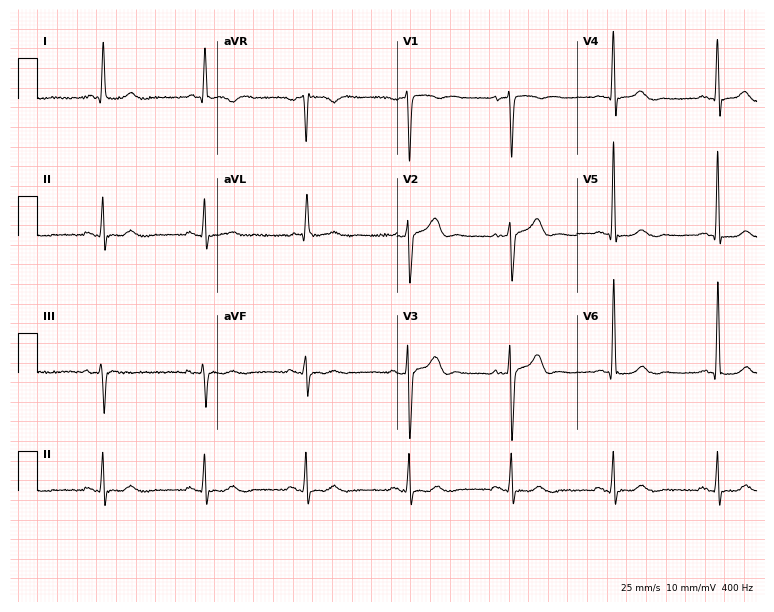
Resting 12-lead electrocardiogram. Patient: a 68-year-old man. None of these six findings is recorded: first-degree AV block, right bundle branch block, left bundle branch block, sinus bradycardia, atrial fibrillation, sinus tachycardia.